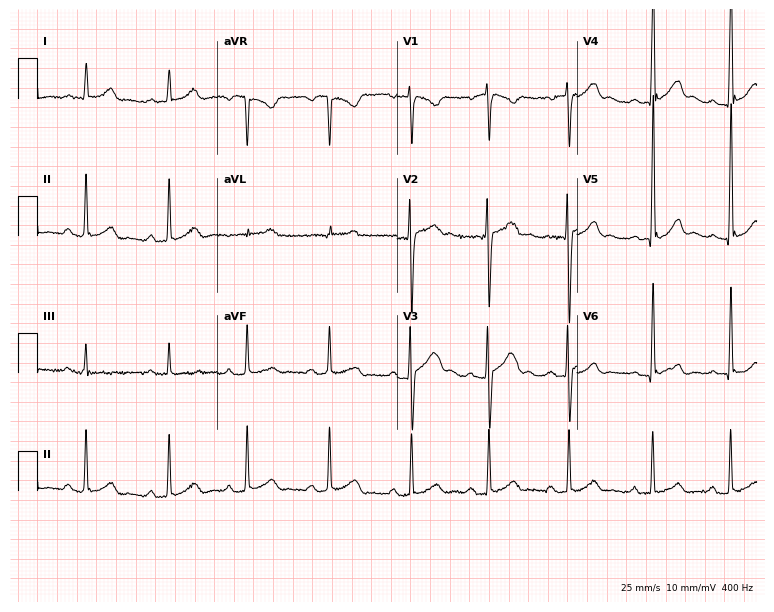
12-lead ECG from a 17-year-old male (7.3-second recording at 400 Hz). Recorded interpretation: within normal limits.